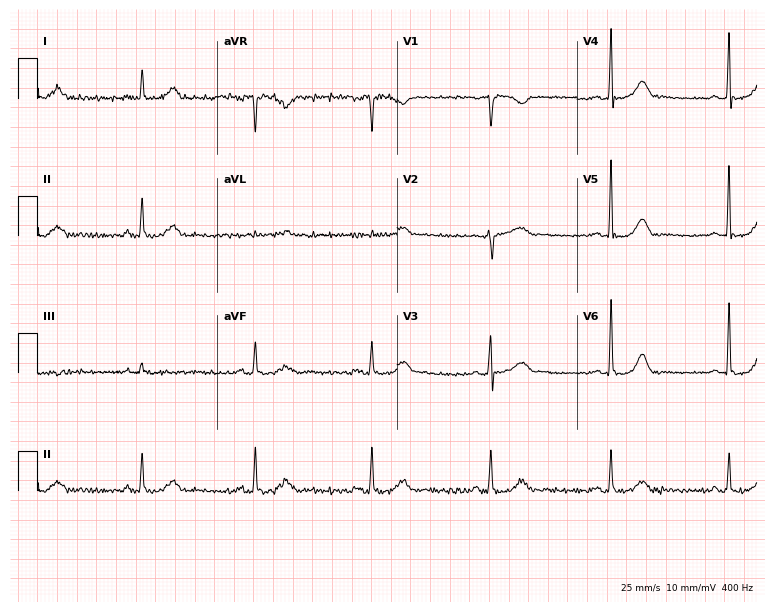
12-lead ECG from a female patient, 50 years old. No first-degree AV block, right bundle branch block (RBBB), left bundle branch block (LBBB), sinus bradycardia, atrial fibrillation (AF) or sinus tachycardia recorded for this tracing. Findings outside these six are not listed.